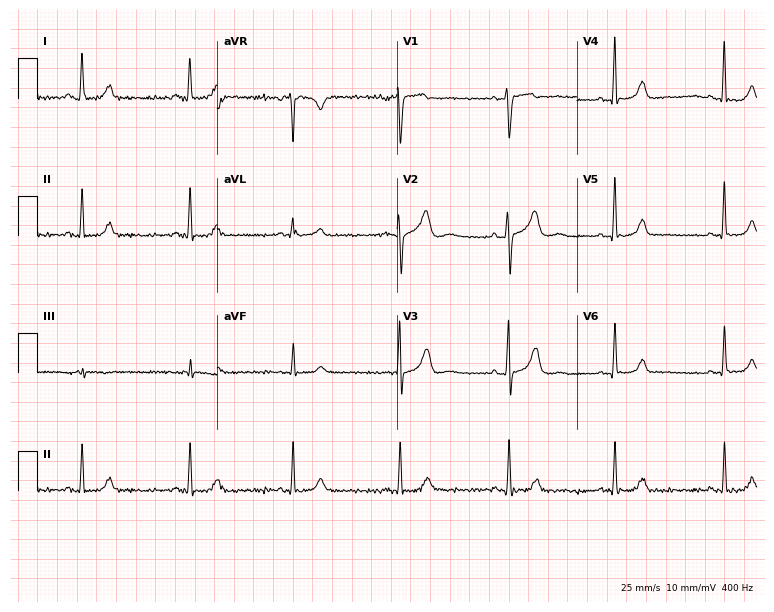
Standard 12-lead ECG recorded from a female patient, 34 years old (7.3-second recording at 400 Hz). None of these six findings is recorded: first-degree AV block, right bundle branch block, left bundle branch block, sinus bradycardia, atrial fibrillation, sinus tachycardia. Findings outside these six are not listed.